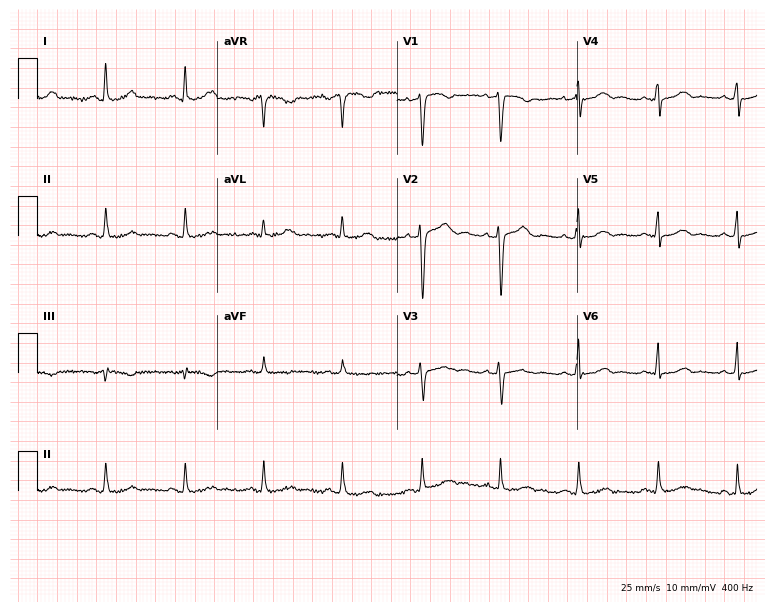
12-lead ECG from a 33-year-old woman. Labelled as a normal ECG.